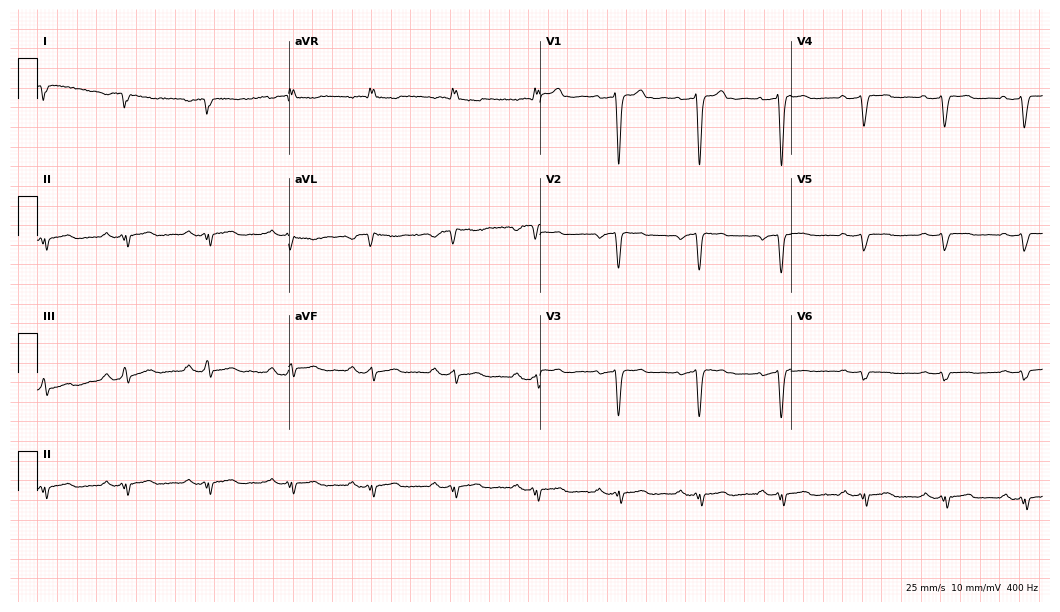
Electrocardiogram, a 39-year-old male patient. Of the six screened findings (first-degree AV block, right bundle branch block, left bundle branch block, sinus bradycardia, atrial fibrillation, sinus tachycardia), none is recorded.